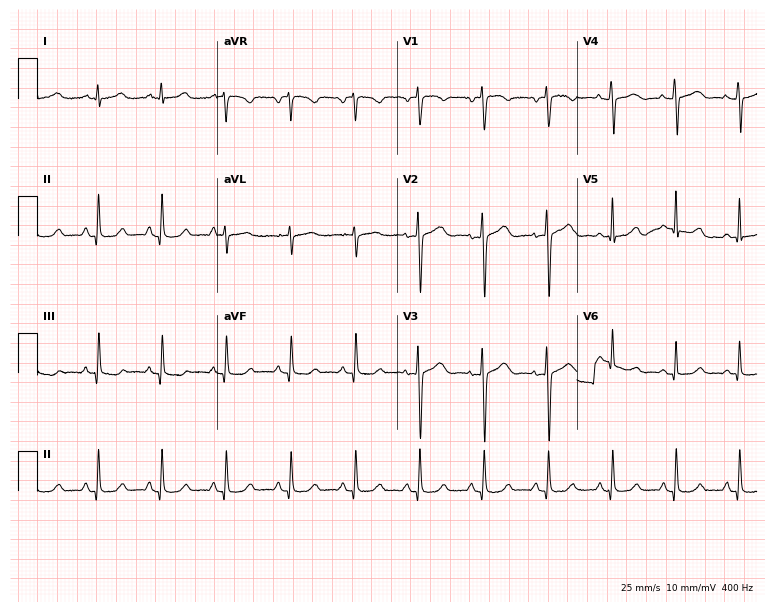
Standard 12-lead ECG recorded from a 35-year-old female (7.3-second recording at 400 Hz). None of these six findings is recorded: first-degree AV block, right bundle branch block, left bundle branch block, sinus bradycardia, atrial fibrillation, sinus tachycardia.